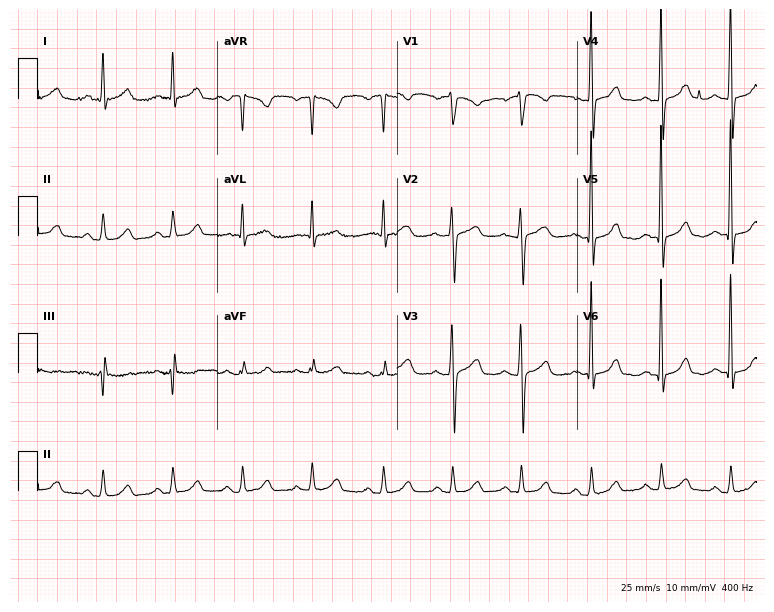
ECG (7.3-second recording at 400 Hz) — a 50-year-old male patient. Screened for six findings — first-degree AV block, right bundle branch block (RBBB), left bundle branch block (LBBB), sinus bradycardia, atrial fibrillation (AF), sinus tachycardia — none is recorded. Only these six findings were labelled.